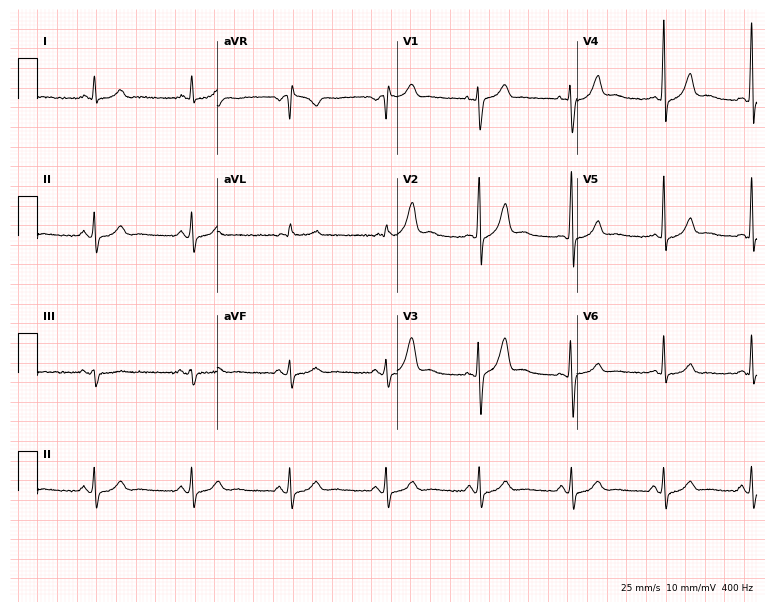
12-lead ECG from a man, 38 years old. Recorded interpretation: within normal limits.